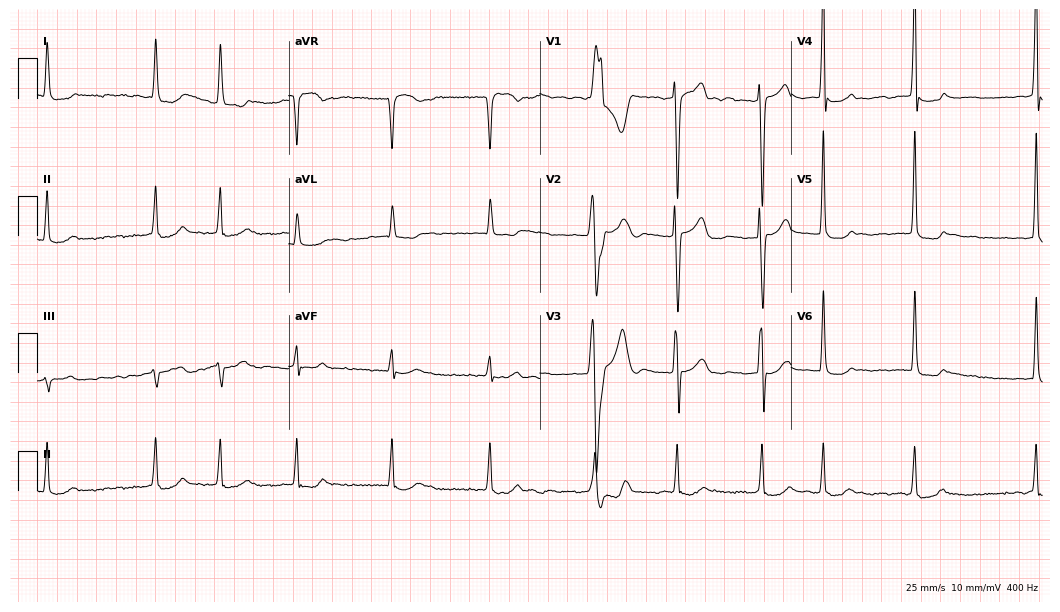
12-lead ECG from a woman, 64 years old (10.2-second recording at 400 Hz). No first-degree AV block, right bundle branch block, left bundle branch block, sinus bradycardia, atrial fibrillation or sinus tachycardia recorded for this tracing.